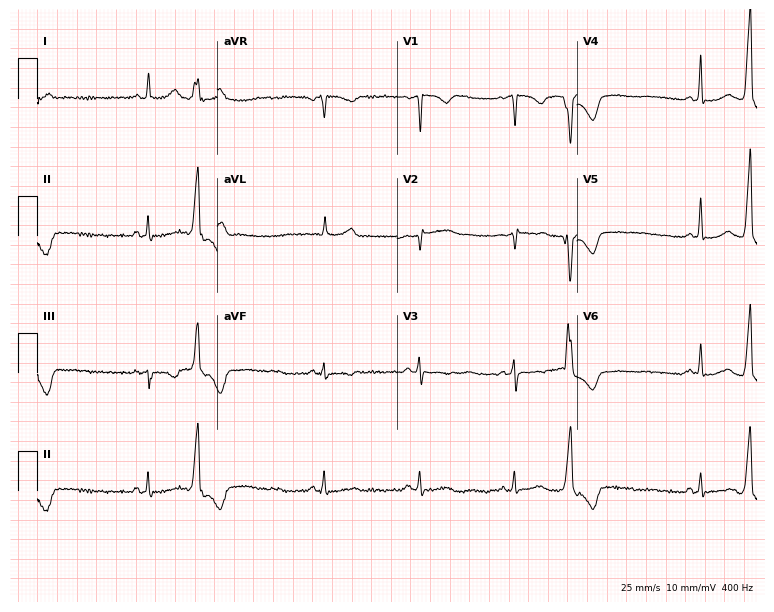
12-lead ECG from a 61-year-old woman. No first-degree AV block, right bundle branch block (RBBB), left bundle branch block (LBBB), sinus bradycardia, atrial fibrillation (AF) or sinus tachycardia recorded for this tracing. Findings outside these six are not listed.